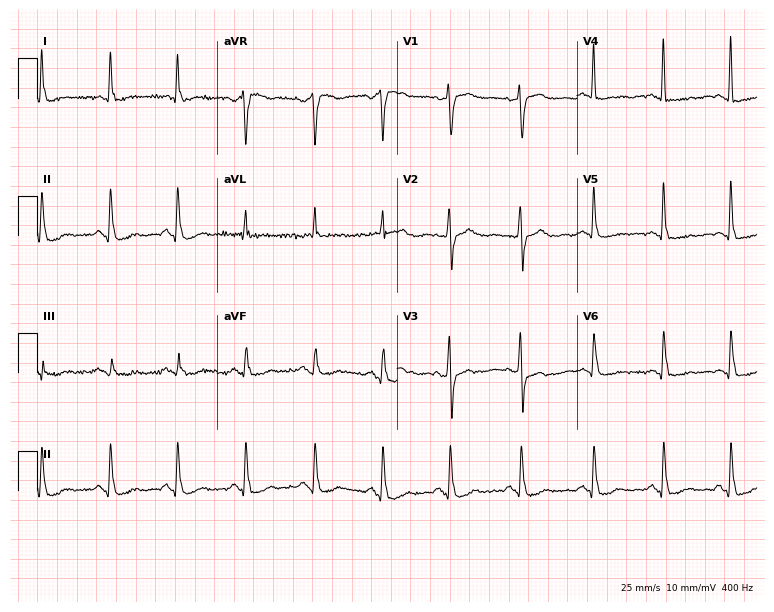
Electrocardiogram (7.3-second recording at 400 Hz), a 66-year-old woman. Overall reading on record: normal ECG.